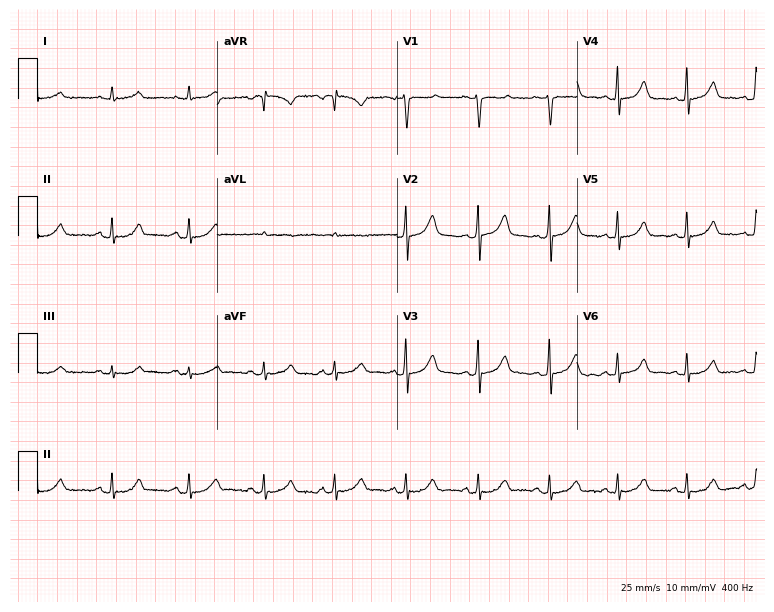
Resting 12-lead electrocardiogram (7.3-second recording at 400 Hz). Patient: a 47-year-old woman. None of these six findings is recorded: first-degree AV block, right bundle branch block, left bundle branch block, sinus bradycardia, atrial fibrillation, sinus tachycardia. Findings outside these six are not listed.